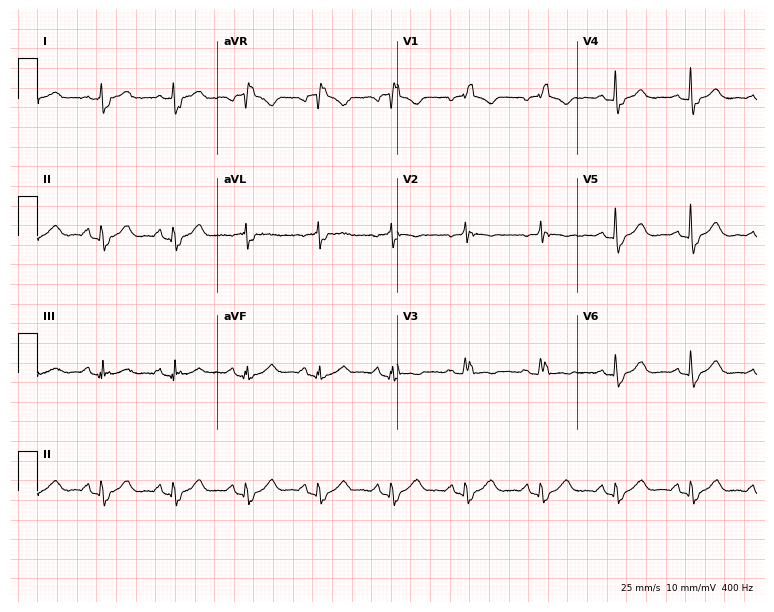
Standard 12-lead ECG recorded from a male, 76 years old (7.3-second recording at 400 Hz). The tracing shows right bundle branch block (RBBB).